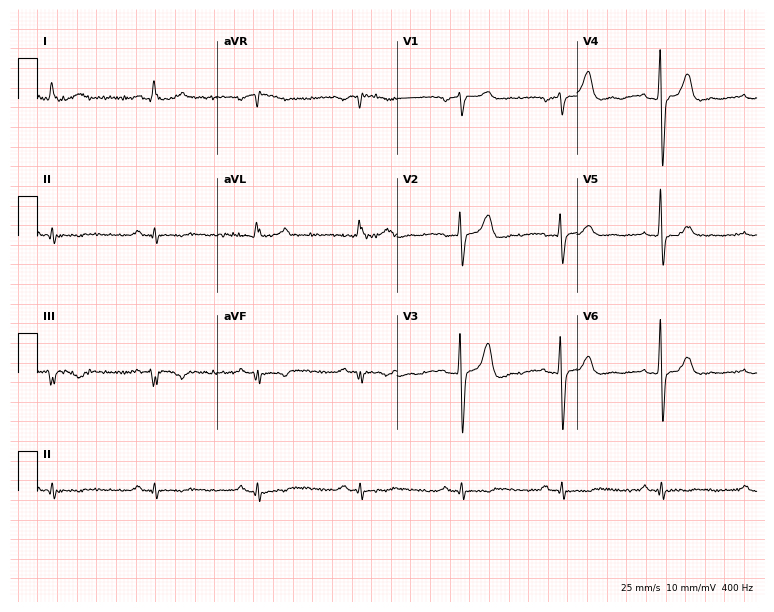
Standard 12-lead ECG recorded from a 65-year-old male patient (7.3-second recording at 400 Hz). None of these six findings is recorded: first-degree AV block, right bundle branch block, left bundle branch block, sinus bradycardia, atrial fibrillation, sinus tachycardia.